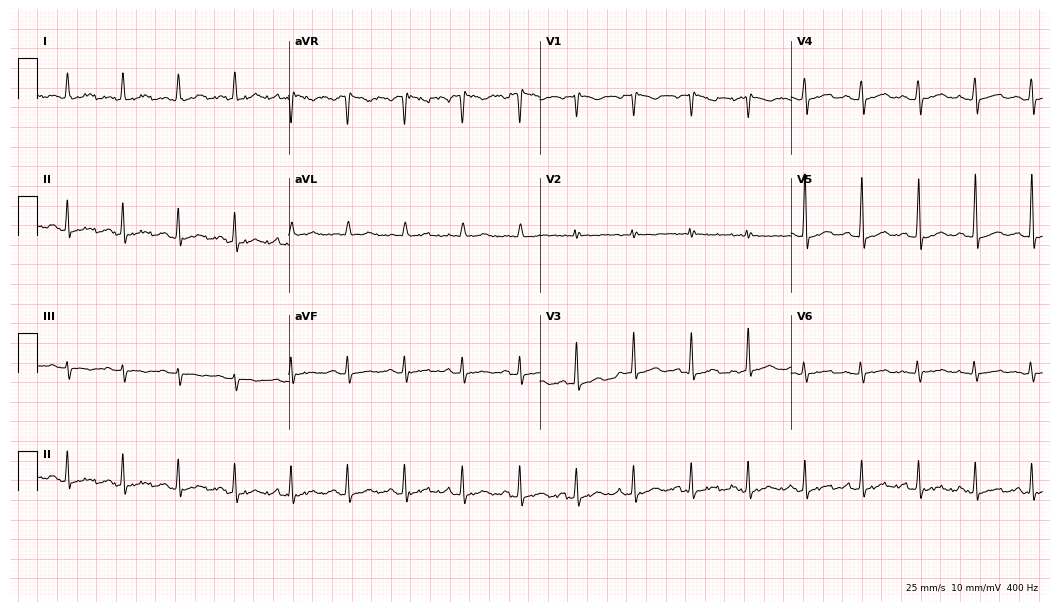
Resting 12-lead electrocardiogram. Patient: a 40-year-old woman. None of these six findings is recorded: first-degree AV block, right bundle branch block (RBBB), left bundle branch block (LBBB), sinus bradycardia, atrial fibrillation (AF), sinus tachycardia. Only these six findings were labelled.